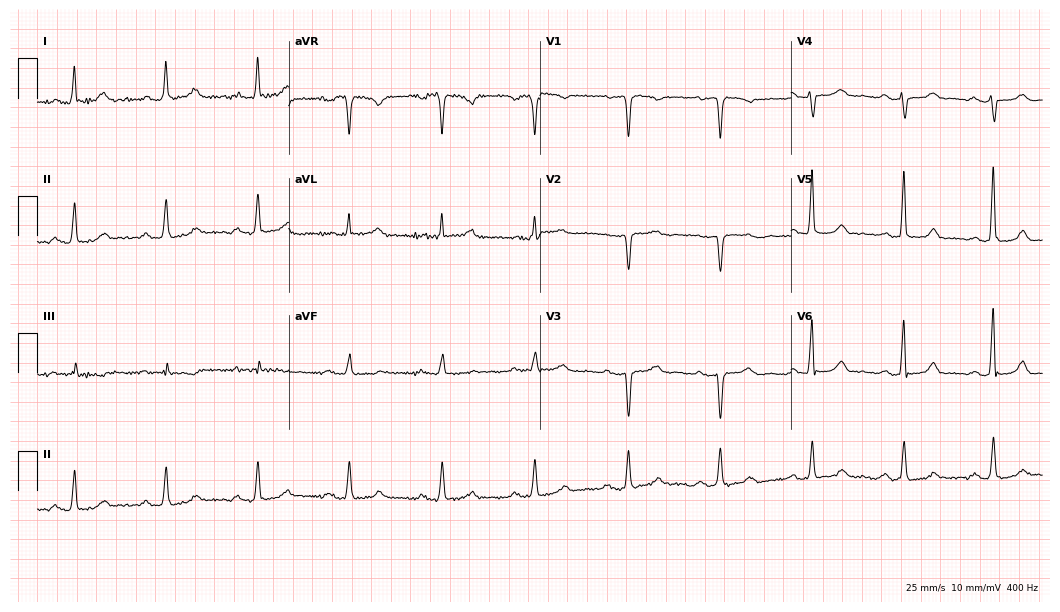
12-lead ECG from a 55-year-old female patient. No first-degree AV block, right bundle branch block (RBBB), left bundle branch block (LBBB), sinus bradycardia, atrial fibrillation (AF) or sinus tachycardia recorded for this tracing. Only these six findings were labelled.